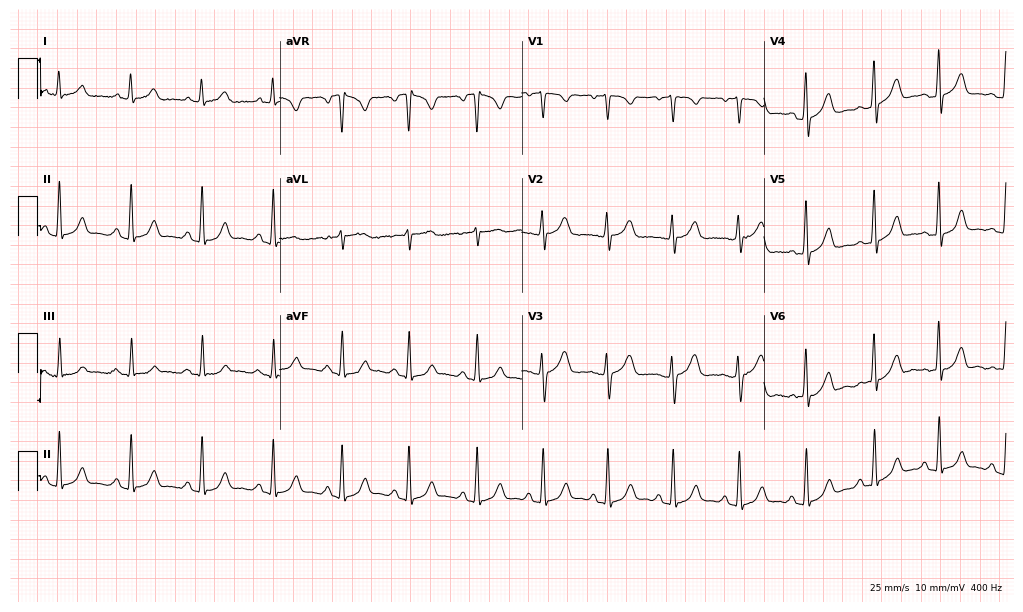
Standard 12-lead ECG recorded from a woman, 25 years old (9.9-second recording at 400 Hz). Read as a normal ECG.